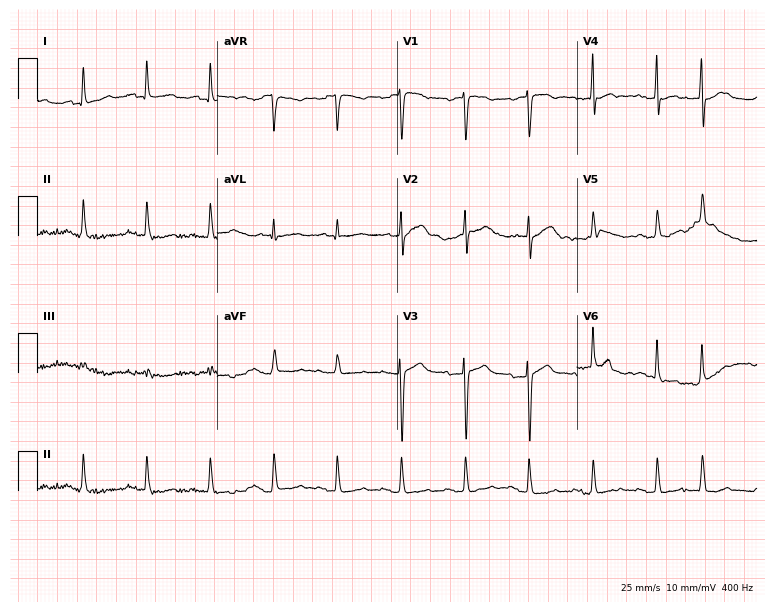
12-lead ECG from a woman, 63 years old (7.3-second recording at 400 Hz). No first-degree AV block, right bundle branch block, left bundle branch block, sinus bradycardia, atrial fibrillation or sinus tachycardia recorded for this tracing.